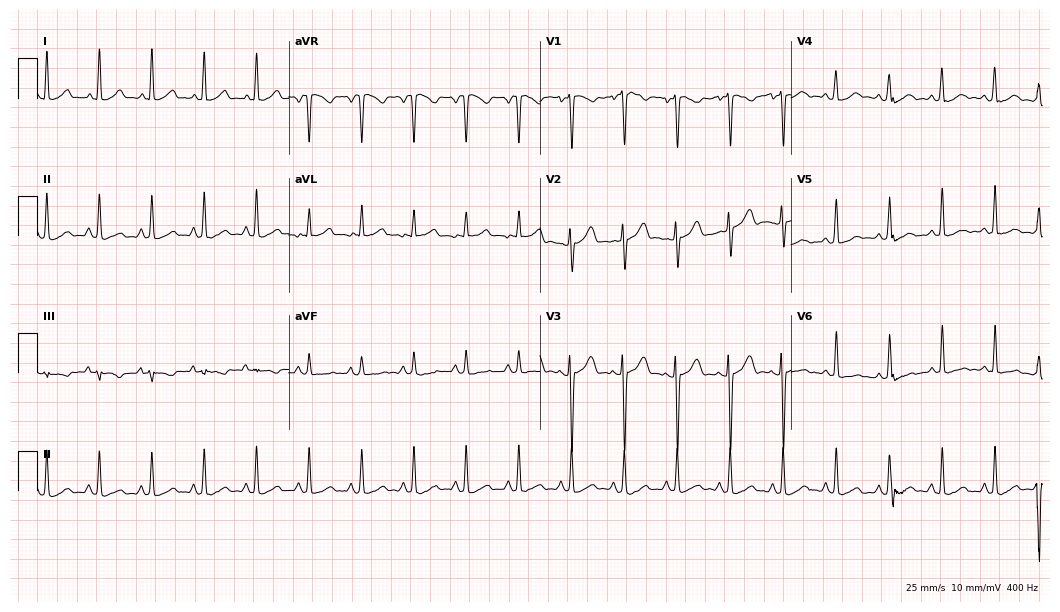
Resting 12-lead electrocardiogram (10.2-second recording at 400 Hz). Patient: a female, 24 years old. None of these six findings is recorded: first-degree AV block, right bundle branch block (RBBB), left bundle branch block (LBBB), sinus bradycardia, atrial fibrillation (AF), sinus tachycardia.